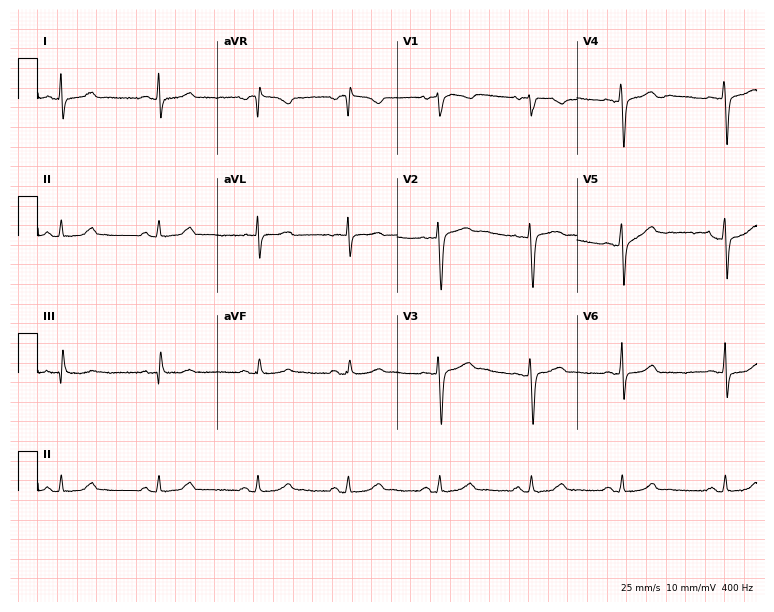
12-lead ECG from a 33-year-old woman. Labelled as a normal ECG.